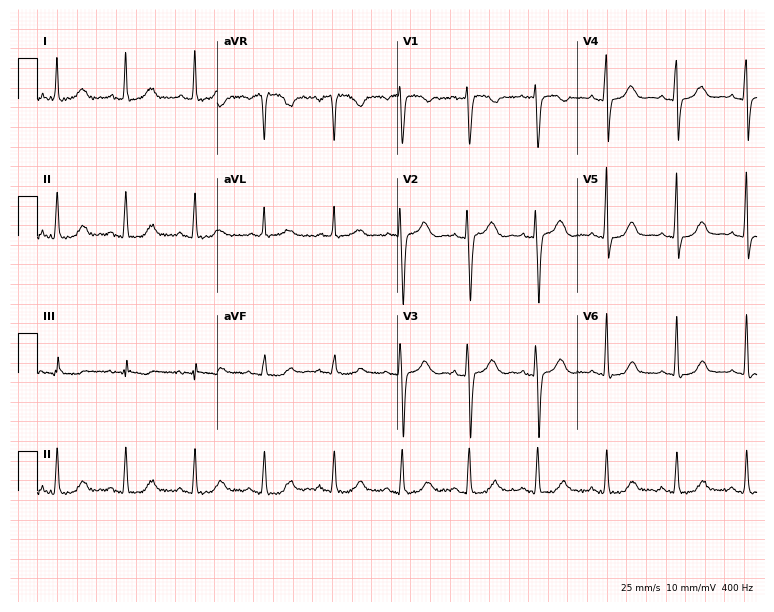
Electrocardiogram (7.3-second recording at 400 Hz), a 56-year-old female patient. Overall reading on record: normal ECG.